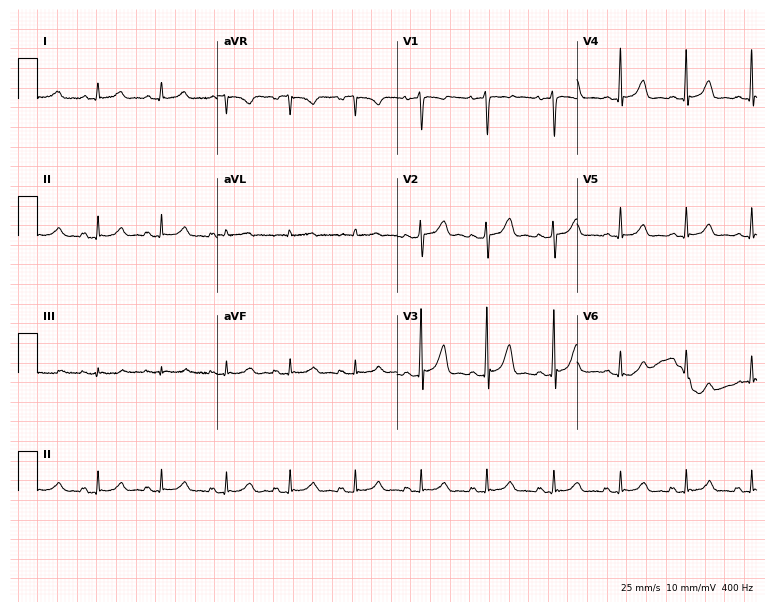
Standard 12-lead ECG recorded from a 42-year-old woman (7.3-second recording at 400 Hz). None of these six findings is recorded: first-degree AV block, right bundle branch block (RBBB), left bundle branch block (LBBB), sinus bradycardia, atrial fibrillation (AF), sinus tachycardia.